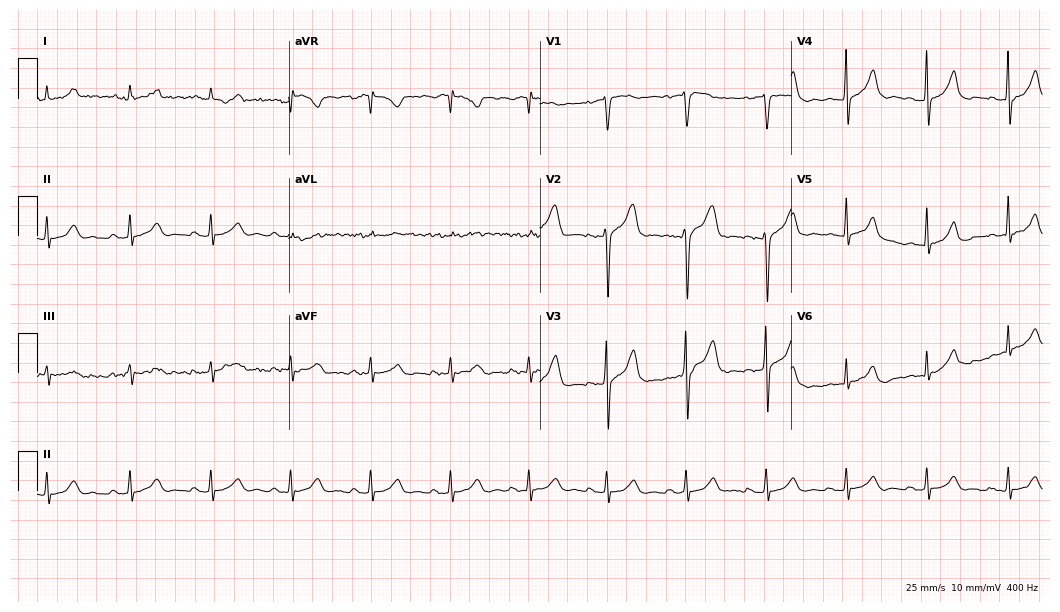
12-lead ECG from a male, 47 years old. Labelled as a normal ECG.